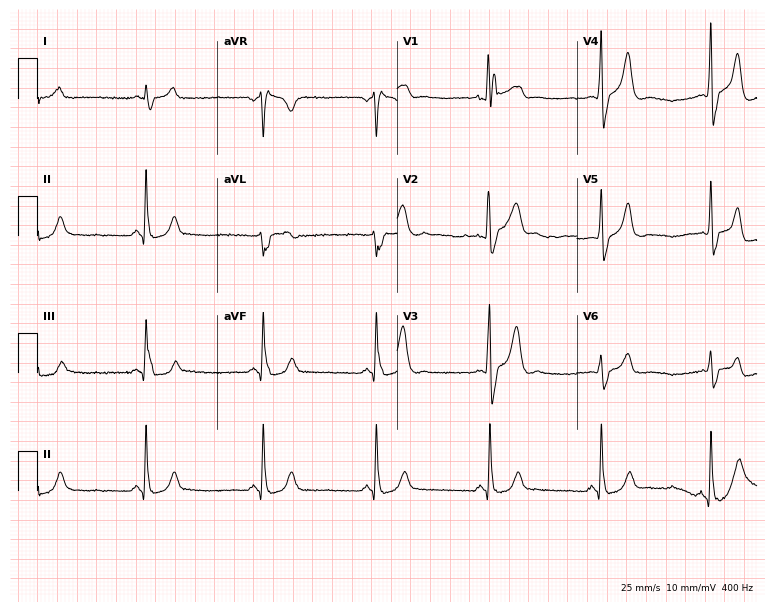
Standard 12-lead ECG recorded from a 55-year-old male. The tracing shows right bundle branch block.